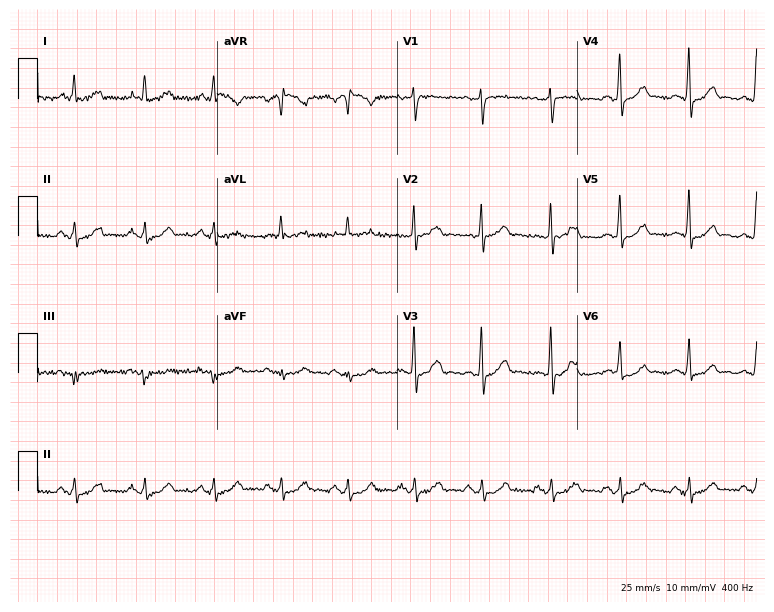
12-lead ECG (7.3-second recording at 400 Hz) from a 56-year-old male patient. Labelled as a normal ECG.